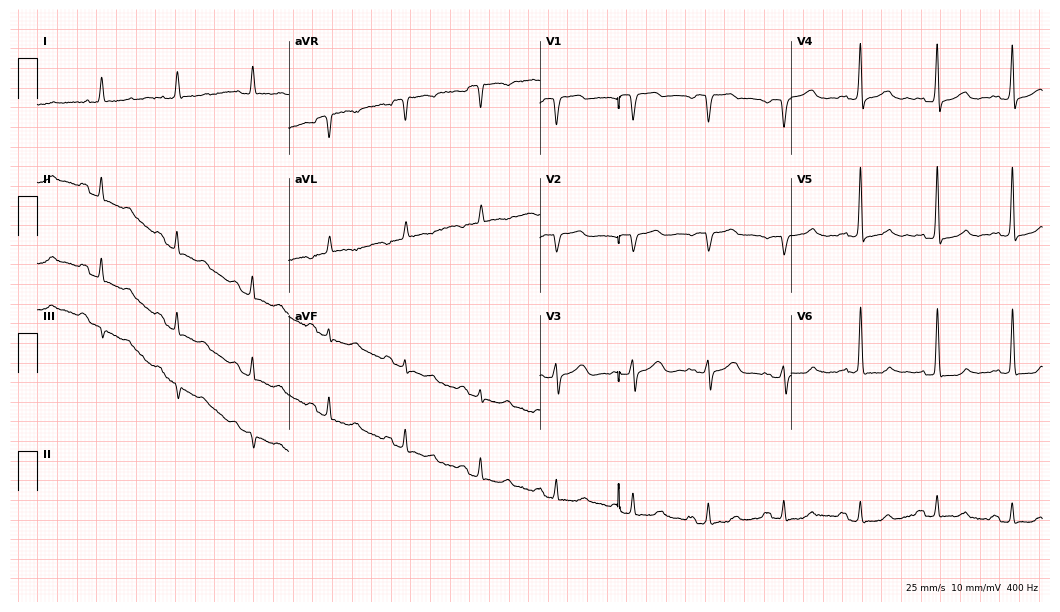
12-lead ECG from a female patient, 74 years old (10.2-second recording at 400 Hz). No first-degree AV block, right bundle branch block, left bundle branch block, sinus bradycardia, atrial fibrillation or sinus tachycardia recorded for this tracing.